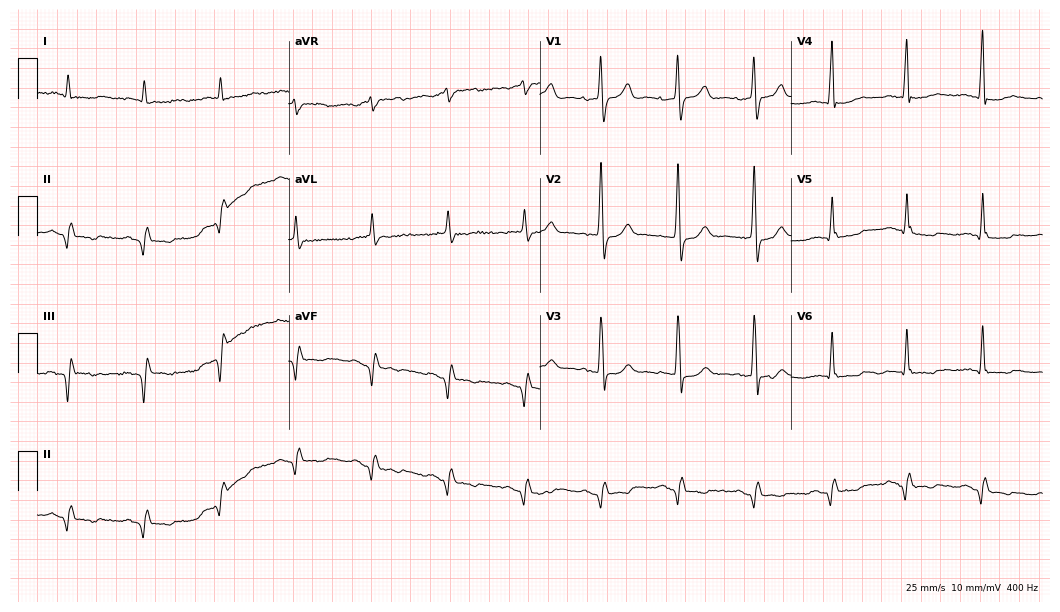
12-lead ECG from a male patient, 80 years old (10.2-second recording at 400 Hz). No first-degree AV block, right bundle branch block (RBBB), left bundle branch block (LBBB), sinus bradycardia, atrial fibrillation (AF) or sinus tachycardia recorded for this tracing. Other findings, if any, are not listed.